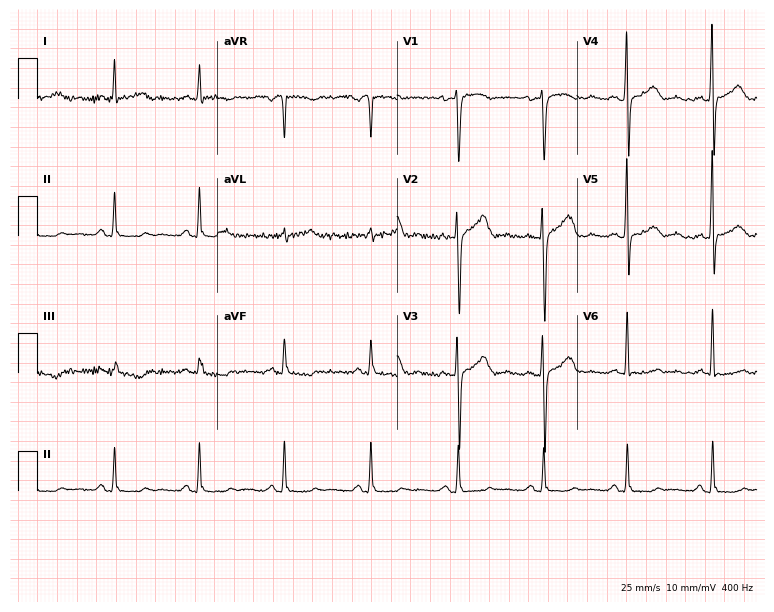
Electrocardiogram (7.3-second recording at 400 Hz), a woman, 54 years old. Of the six screened findings (first-degree AV block, right bundle branch block (RBBB), left bundle branch block (LBBB), sinus bradycardia, atrial fibrillation (AF), sinus tachycardia), none is recorded. Findings outside these six are not listed.